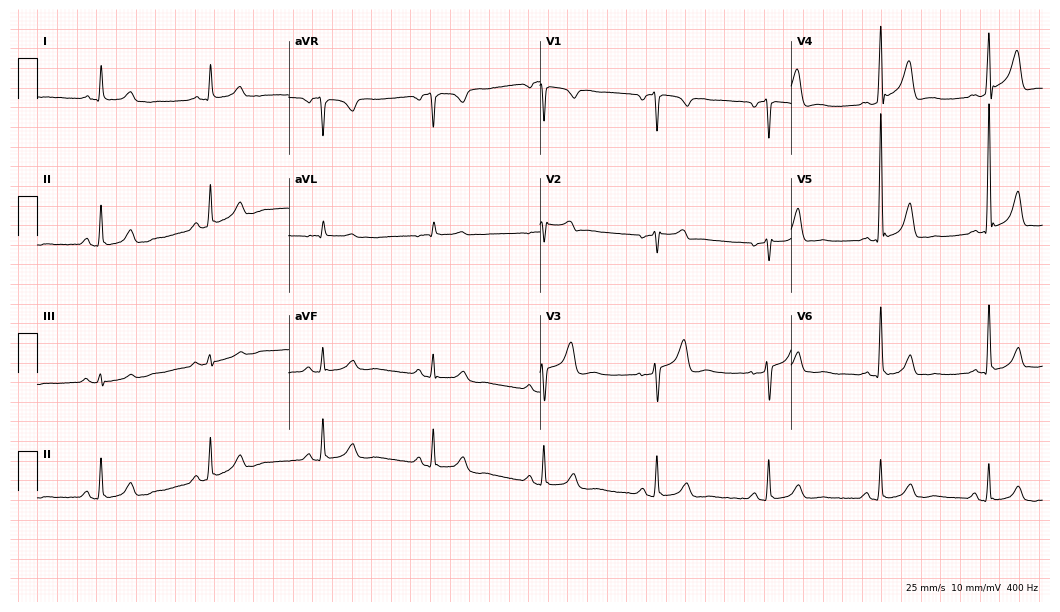
Standard 12-lead ECG recorded from a male, 47 years old. None of these six findings is recorded: first-degree AV block, right bundle branch block, left bundle branch block, sinus bradycardia, atrial fibrillation, sinus tachycardia.